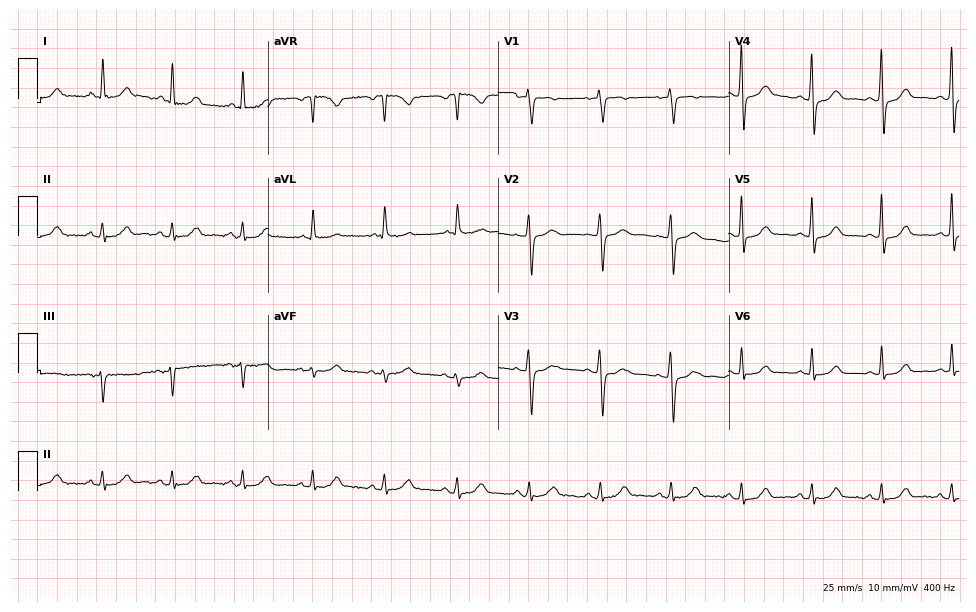
Resting 12-lead electrocardiogram (9.4-second recording at 400 Hz). Patient: a female, 70 years old. Read as a normal ECG.